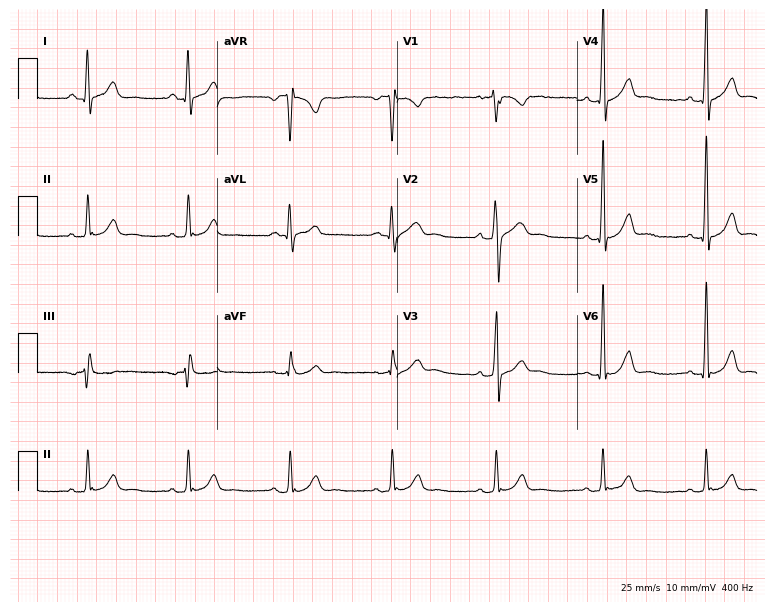
12-lead ECG from a male patient, 27 years old. No first-degree AV block, right bundle branch block, left bundle branch block, sinus bradycardia, atrial fibrillation or sinus tachycardia recorded for this tracing. Other findings, if any, are not listed.